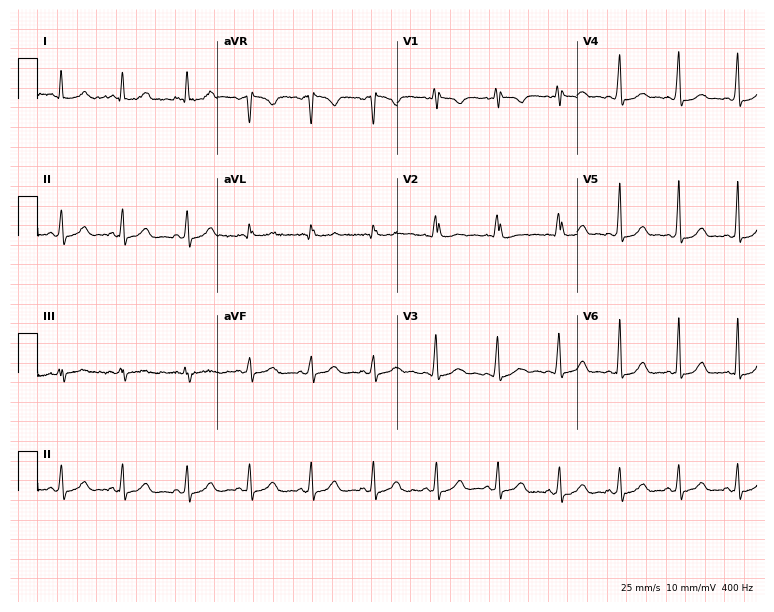
Resting 12-lead electrocardiogram. Patient: a female, 38 years old. None of these six findings is recorded: first-degree AV block, right bundle branch block (RBBB), left bundle branch block (LBBB), sinus bradycardia, atrial fibrillation (AF), sinus tachycardia. Findings outside these six are not listed.